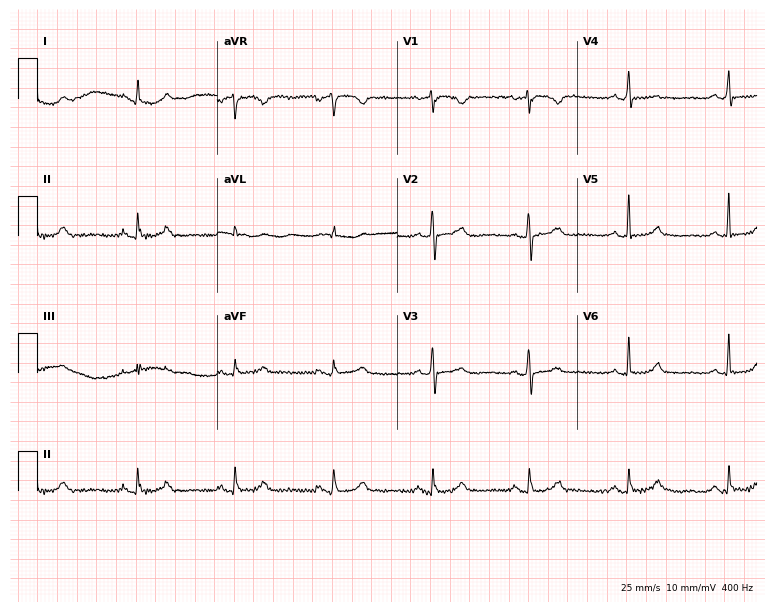
12-lead ECG (7.3-second recording at 400 Hz) from a woman, 50 years old. Screened for six findings — first-degree AV block, right bundle branch block, left bundle branch block, sinus bradycardia, atrial fibrillation, sinus tachycardia — none is recorded.